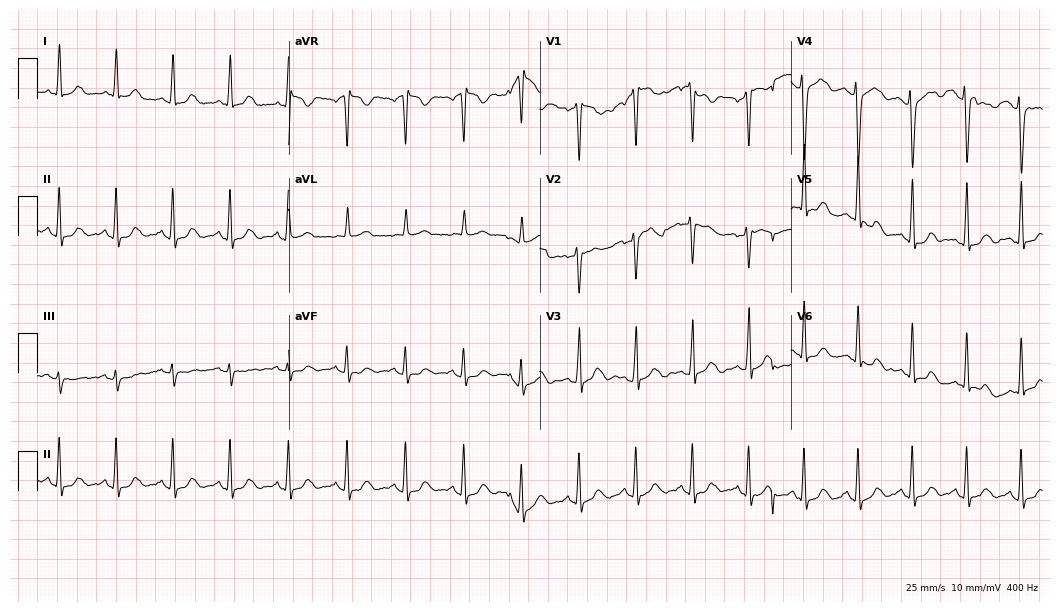
12-lead ECG from a 39-year-old female patient (10.2-second recording at 400 Hz). Shows sinus tachycardia (a sinus rate of 100 beats per minute or more).